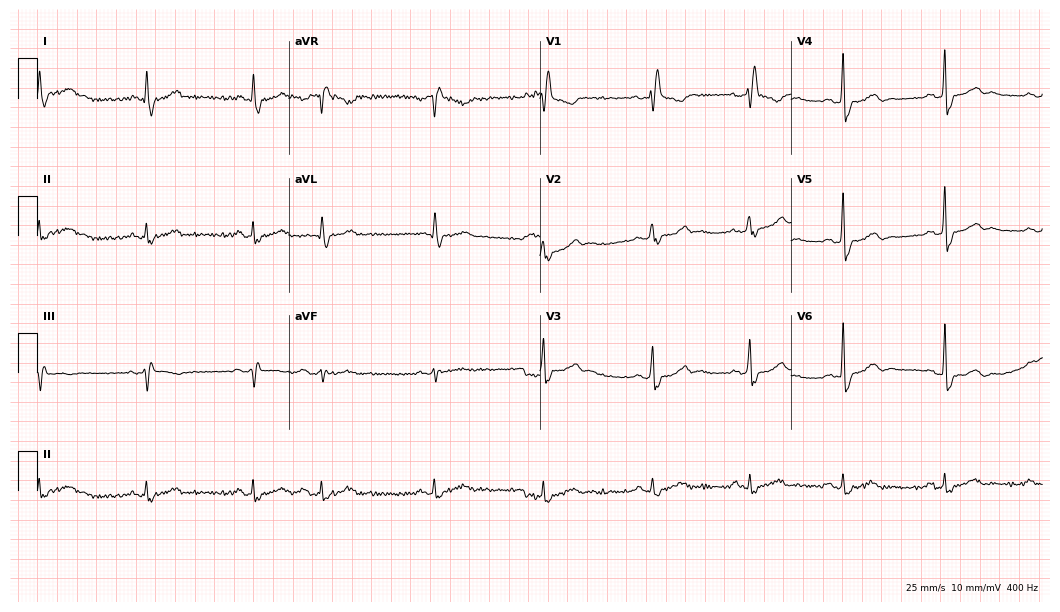
Electrocardiogram, a man, 73 years old. Interpretation includes right bundle branch block.